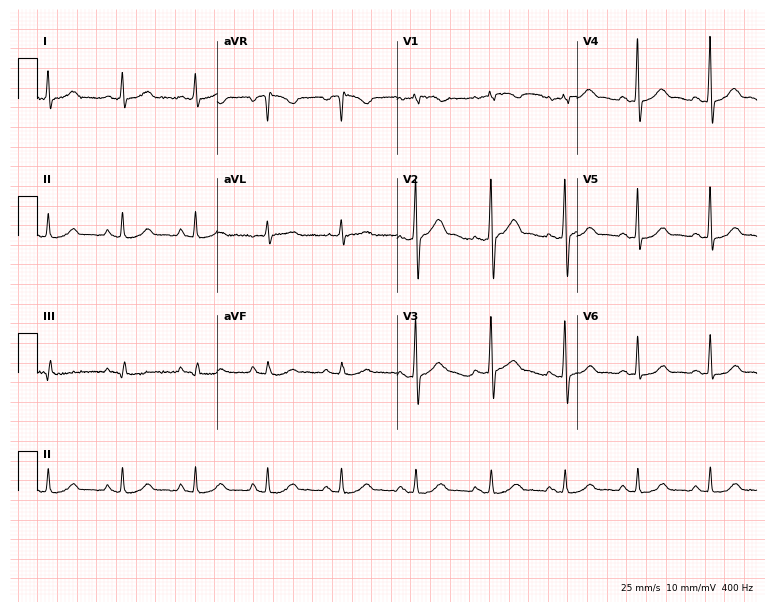
12-lead ECG from a man, 55 years old (7.3-second recording at 400 Hz). Recorded interpretation: within normal limits.